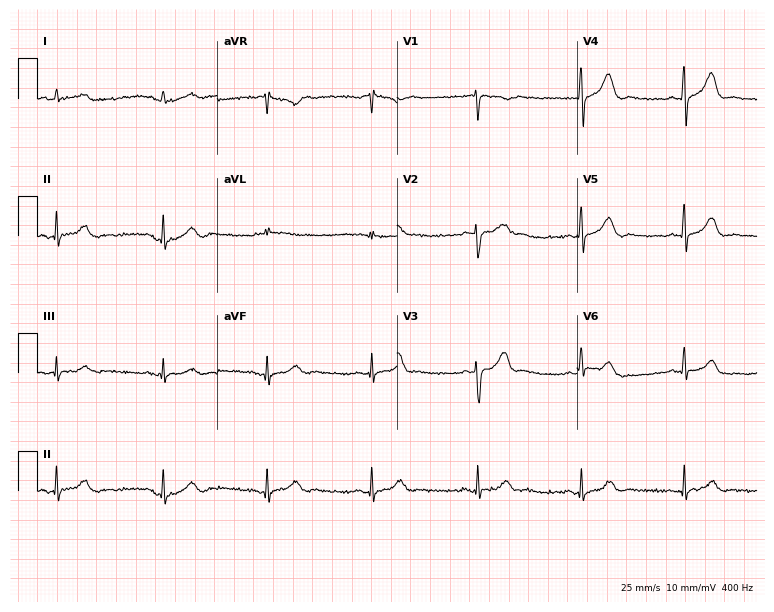
Resting 12-lead electrocardiogram. Patient: a 70-year-old male. None of these six findings is recorded: first-degree AV block, right bundle branch block (RBBB), left bundle branch block (LBBB), sinus bradycardia, atrial fibrillation (AF), sinus tachycardia.